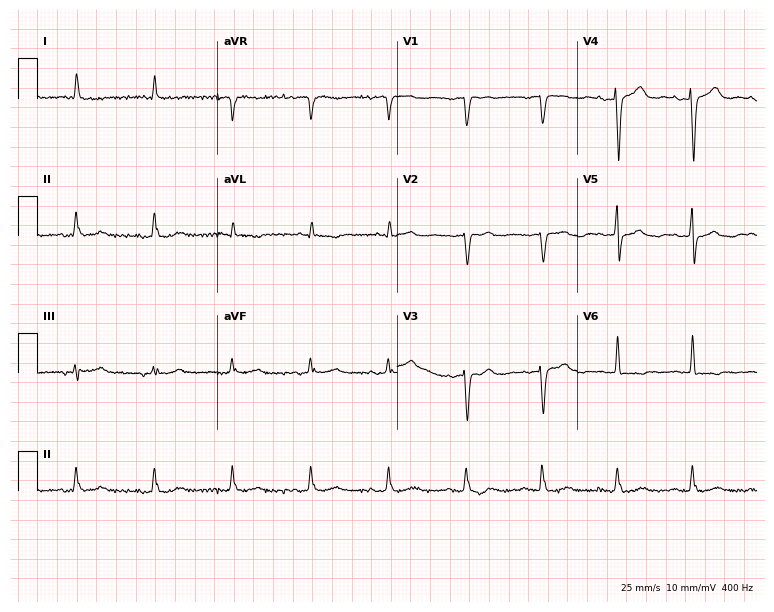
Standard 12-lead ECG recorded from a woman, 83 years old. None of these six findings is recorded: first-degree AV block, right bundle branch block, left bundle branch block, sinus bradycardia, atrial fibrillation, sinus tachycardia.